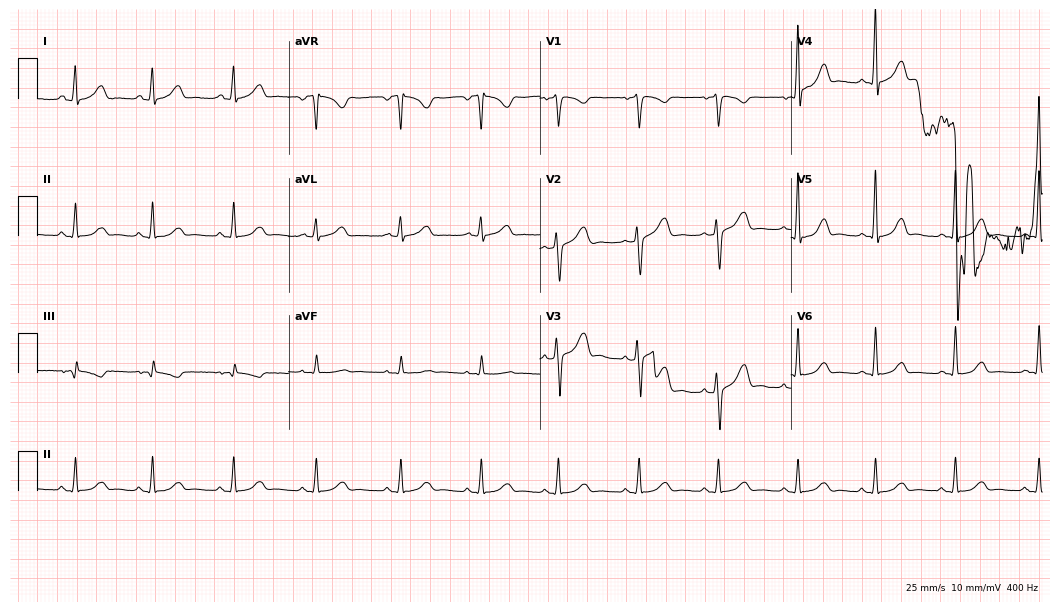
Resting 12-lead electrocardiogram. Patient: a female, 48 years old. Read as a normal ECG.